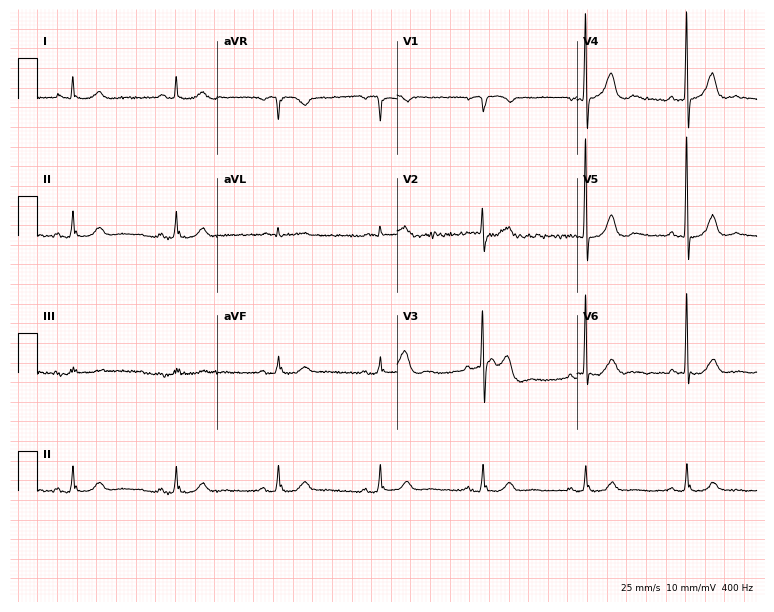
ECG (7.3-second recording at 400 Hz) — a male patient, 82 years old. Labelled as a normal ECG.